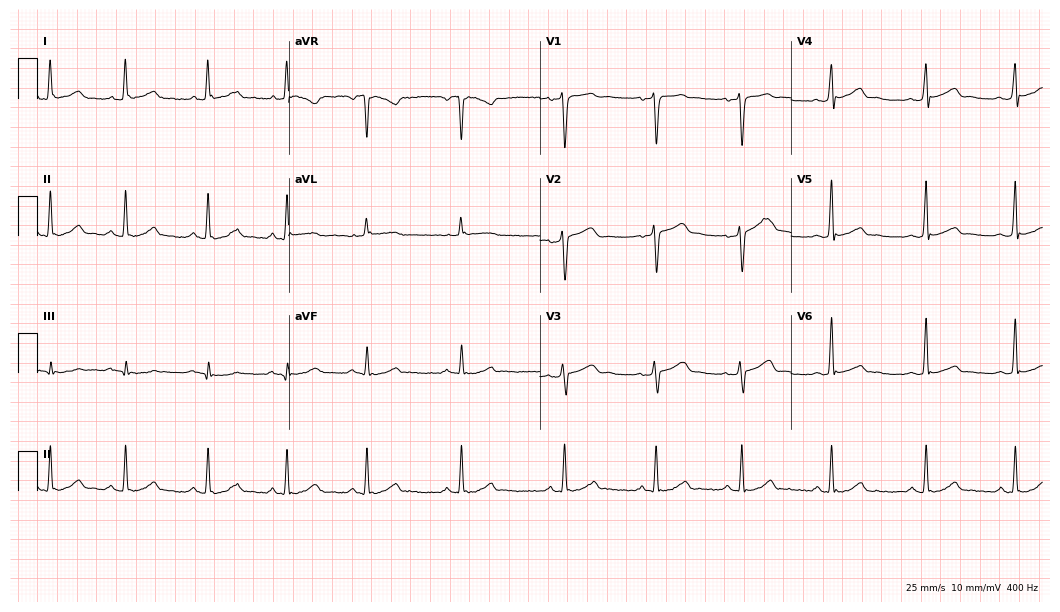
Standard 12-lead ECG recorded from a female patient, 28 years old (10.2-second recording at 400 Hz). Read as a normal ECG.